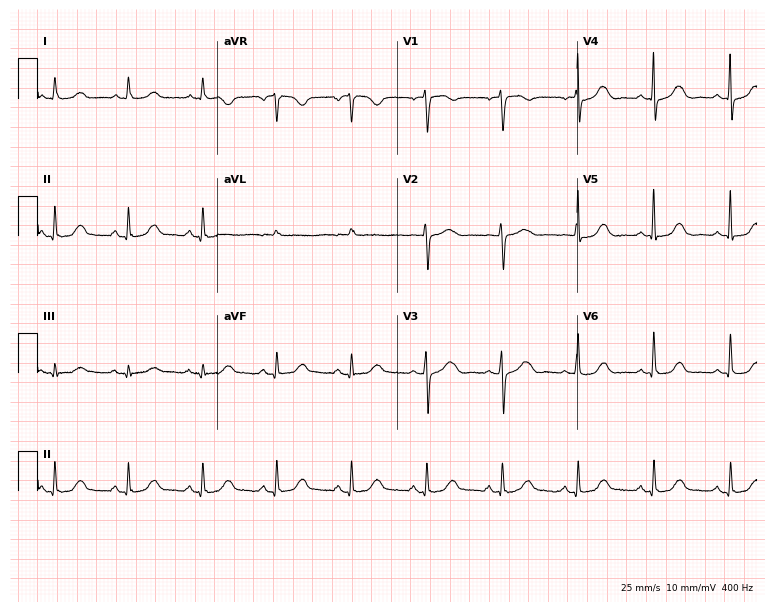
ECG — a 69-year-old female. Labelled as a normal ECG.